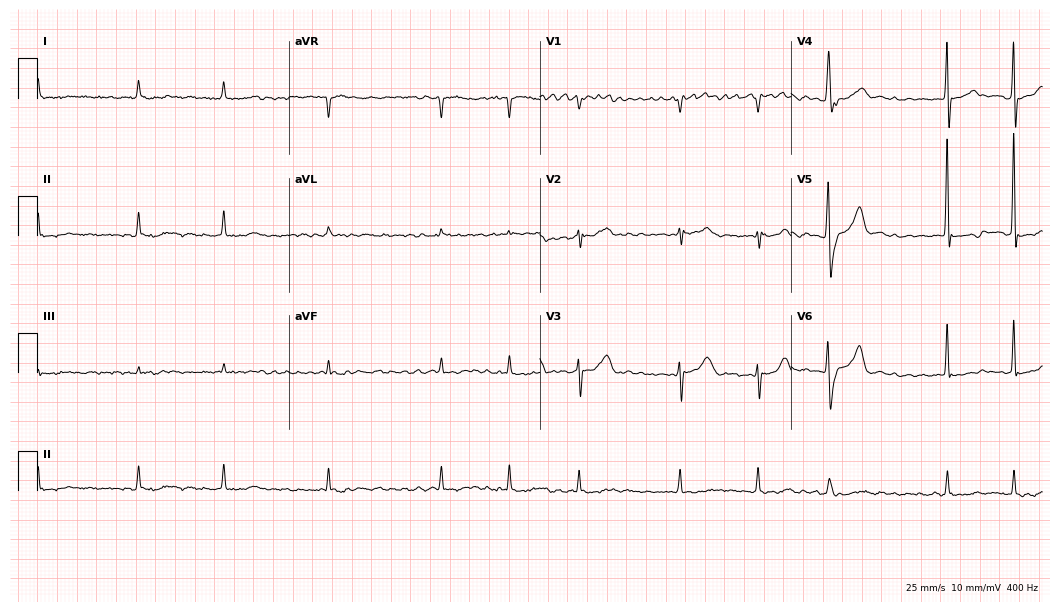
Resting 12-lead electrocardiogram. Patient: an 83-year-old female. None of these six findings is recorded: first-degree AV block, right bundle branch block, left bundle branch block, sinus bradycardia, atrial fibrillation, sinus tachycardia.